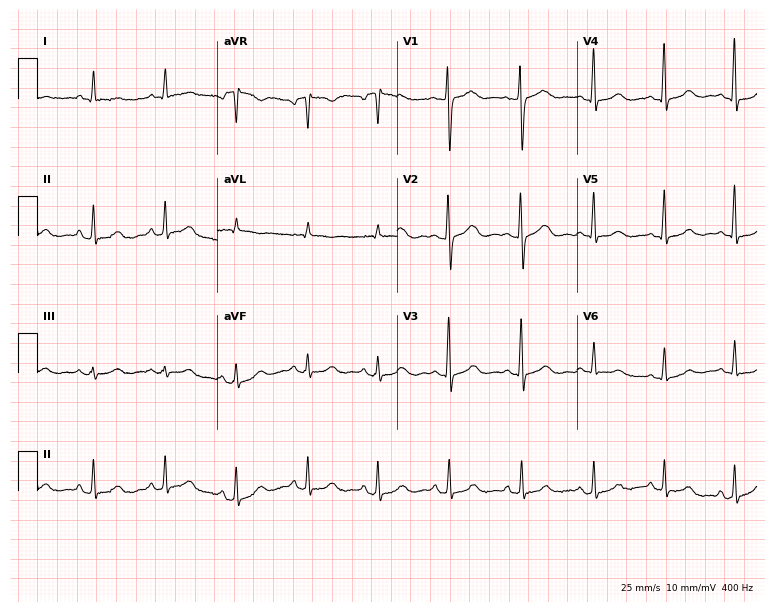
Standard 12-lead ECG recorded from a 60-year-old female patient. None of these six findings is recorded: first-degree AV block, right bundle branch block, left bundle branch block, sinus bradycardia, atrial fibrillation, sinus tachycardia. Only these six findings were labelled.